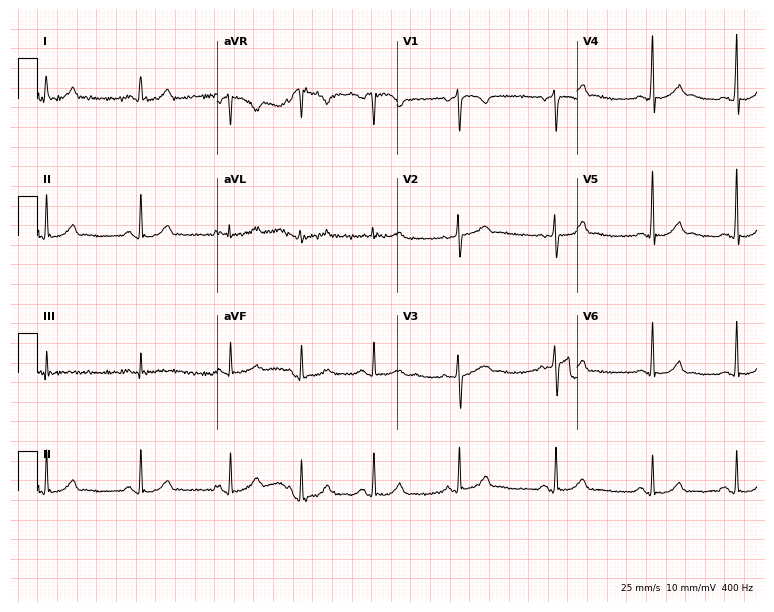
ECG — a female patient, 33 years old. Screened for six findings — first-degree AV block, right bundle branch block, left bundle branch block, sinus bradycardia, atrial fibrillation, sinus tachycardia — none is recorded. Findings outside these six are not listed.